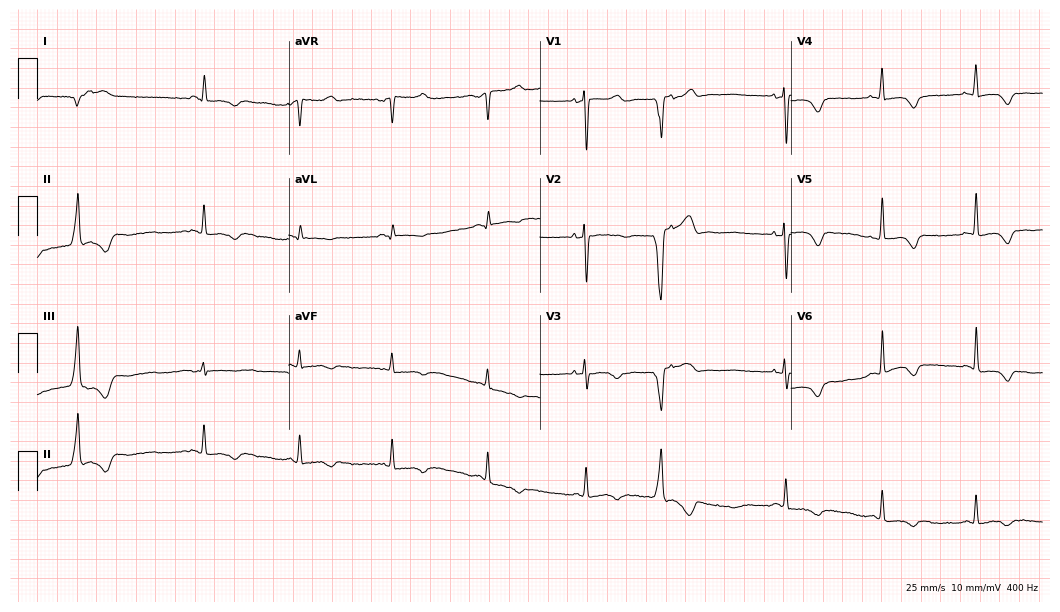
ECG — a 43-year-old female. Screened for six findings — first-degree AV block, right bundle branch block, left bundle branch block, sinus bradycardia, atrial fibrillation, sinus tachycardia — none is recorded.